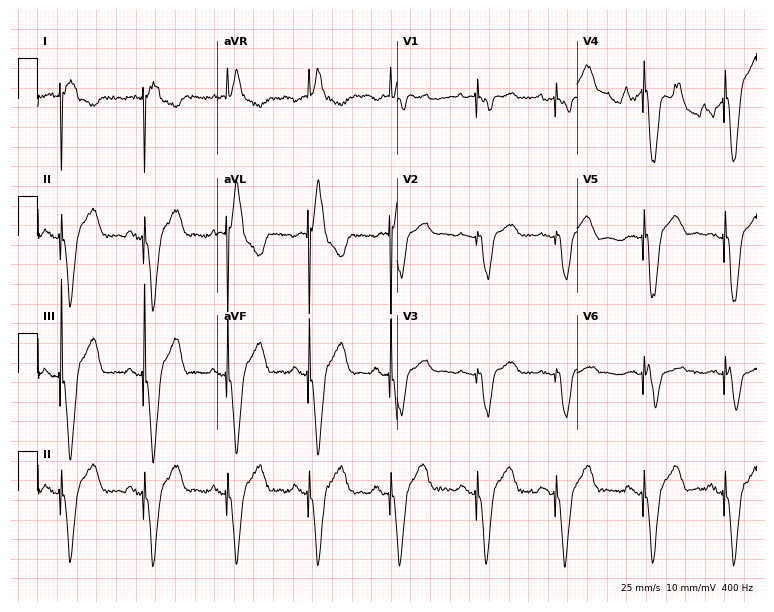
Electrocardiogram (7.3-second recording at 400 Hz), a 70-year-old female. Of the six screened findings (first-degree AV block, right bundle branch block, left bundle branch block, sinus bradycardia, atrial fibrillation, sinus tachycardia), none is recorded. Other findings, if any, are not listed.